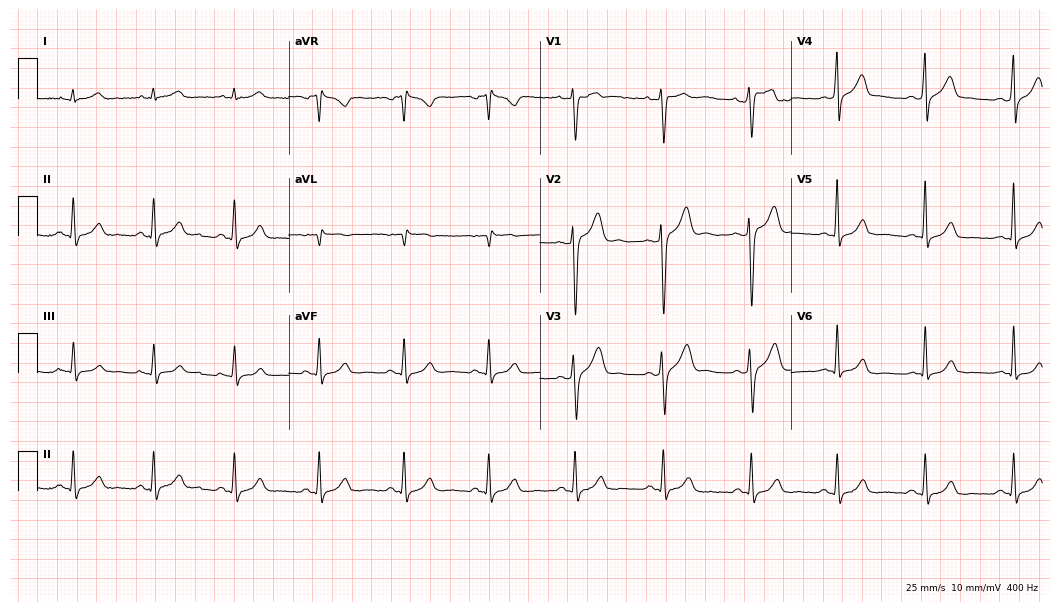
12-lead ECG from a man, 36 years old (10.2-second recording at 400 Hz). No first-degree AV block, right bundle branch block, left bundle branch block, sinus bradycardia, atrial fibrillation or sinus tachycardia recorded for this tracing.